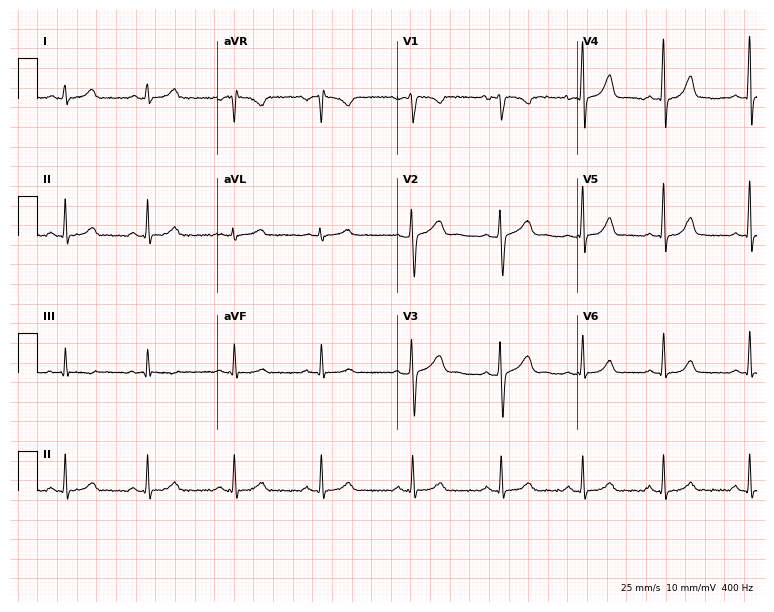
ECG (7.3-second recording at 400 Hz) — a female patient, 22 years old. Labelled as a normal ECG.